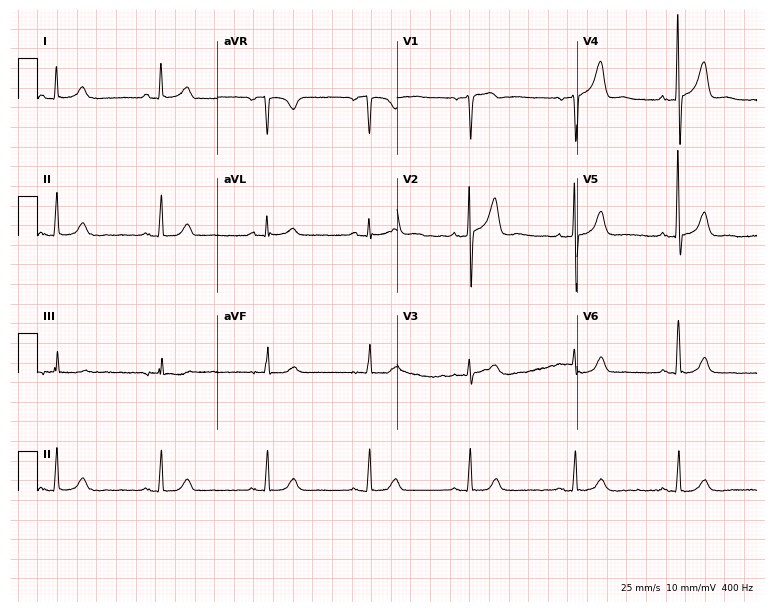
Electrocardiogram (7.3-second recording at 400 Hz), a 61-year-old male patient. Overall reading on record: normal ECG.